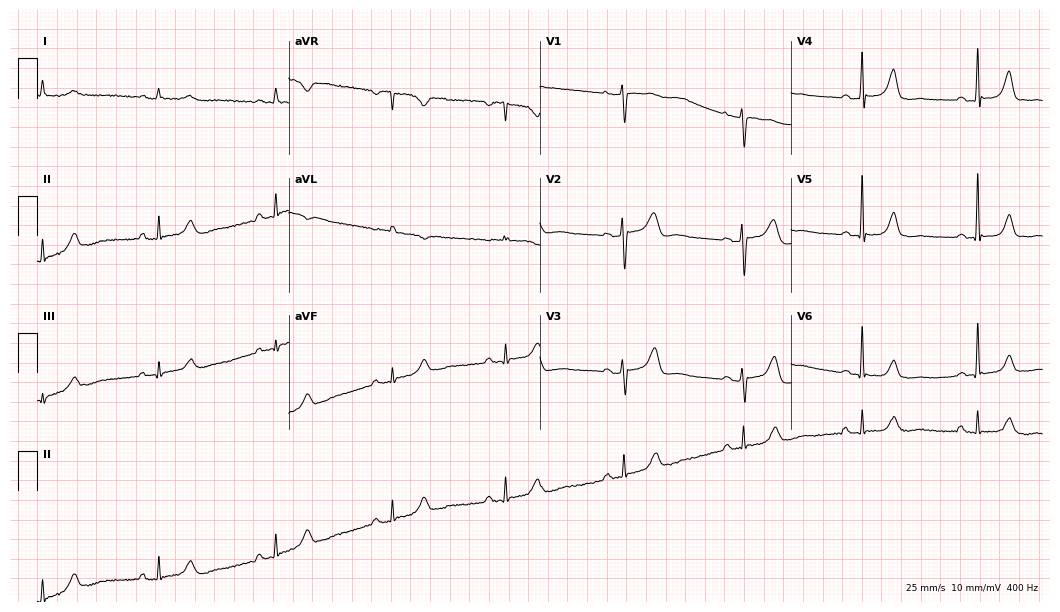
Electrocardiogram, a female patient, 69 years old. Overall reading on record: normal ECG.